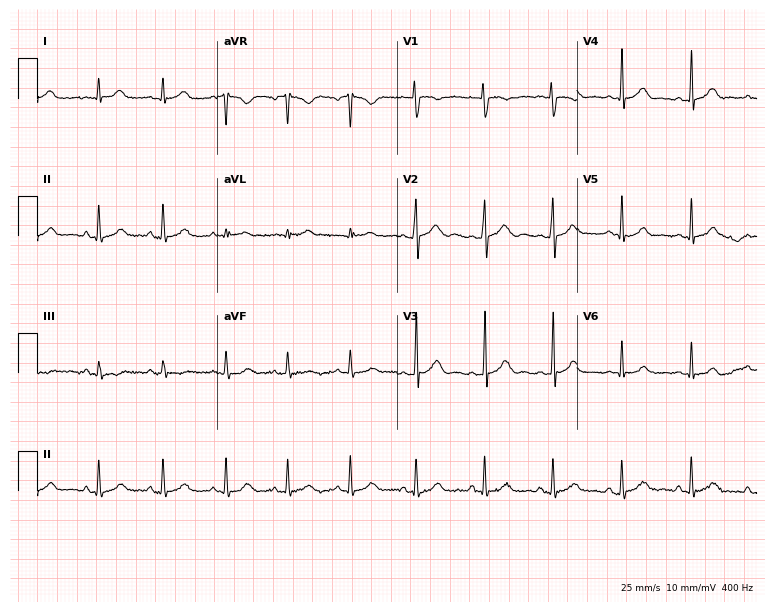
Standard 12-lead ECG recorded from a 21-year-old female patient (7.3-second recording at 400 Hz). None of these six findings is recorded: first-degree AV block, right bundle branch block, left bundle branch block, sinus bradycardia, atrial fibrillation, sinus tachycardia. Findings outside these six are not listed.